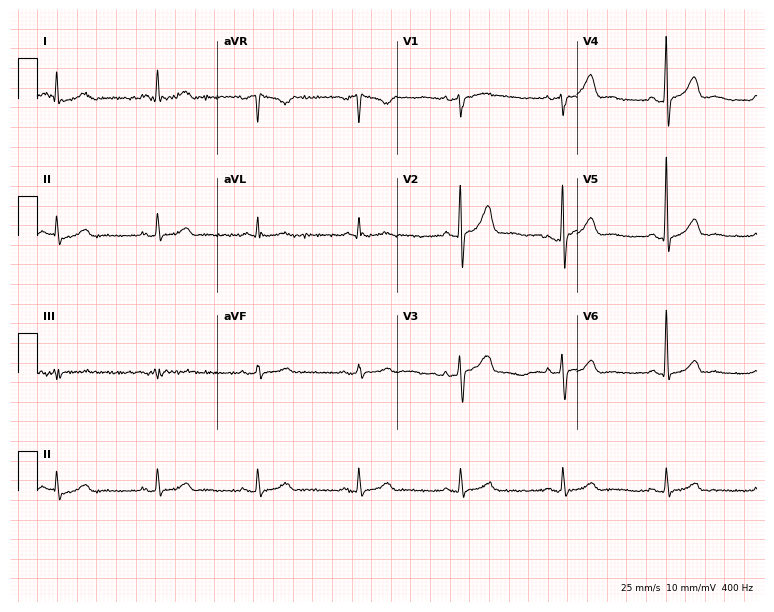
12-lead ECG from a 70-year-old man. Recorded interpretation: within normal limits.